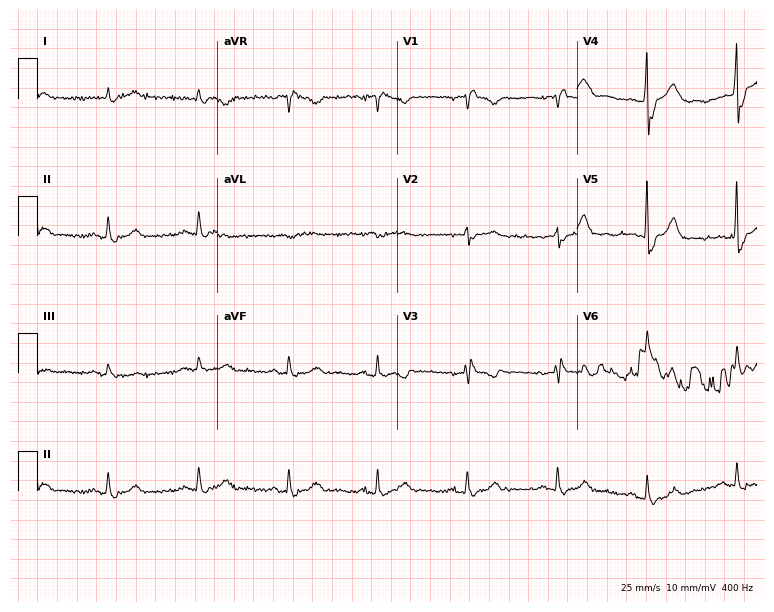
Electrocardiogram (7.3-second recording at 400 Hz), a female, 78 years old. Interpretation includes right bundle branch block.